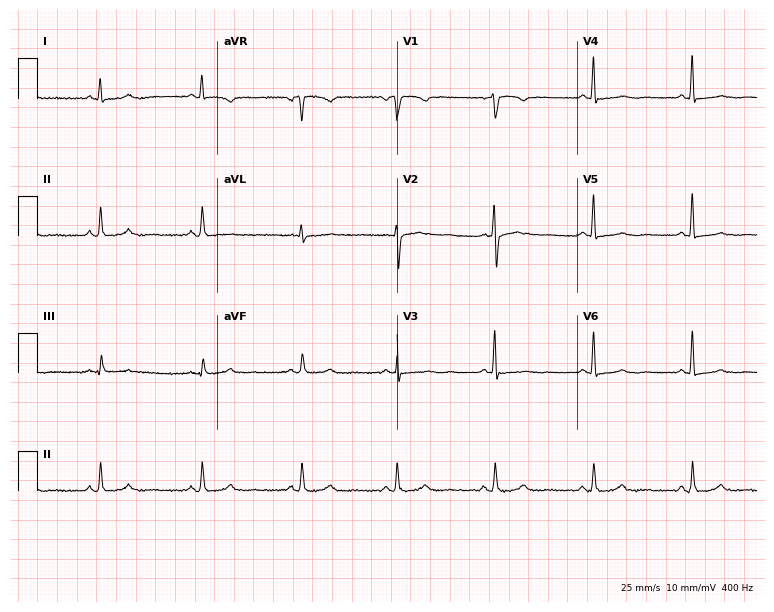
12-lead ECG from a female, 39 years old (7.3-second recording at 400 Hz). Recorded interpretation: within normal limits.